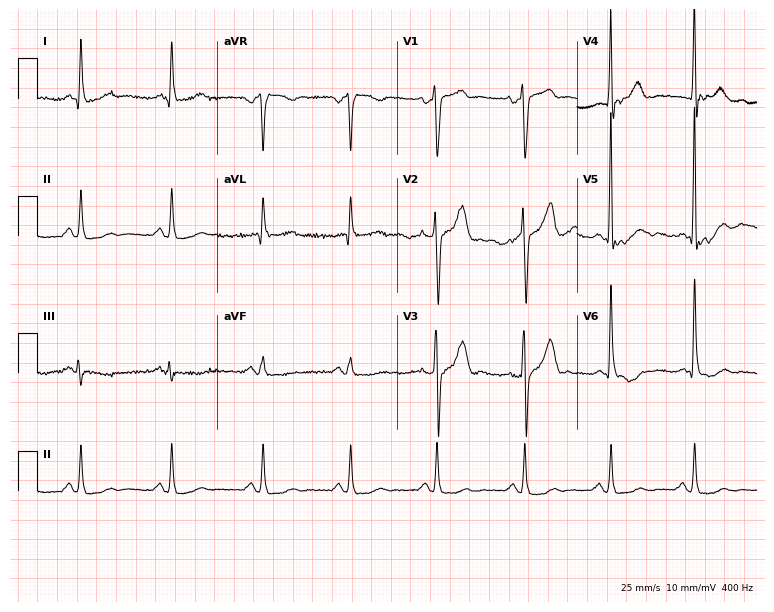
Standard 12-lead ECG recorded from a man, 49 years old. None of these six findings is recorded: first-degree AV block, right bundle branch block (RBBB), left bundle branch block (LBBB), sinus bradycardia, atrial fibrillation (AF), sinus tachycardia. Findings outside these six are not listed.